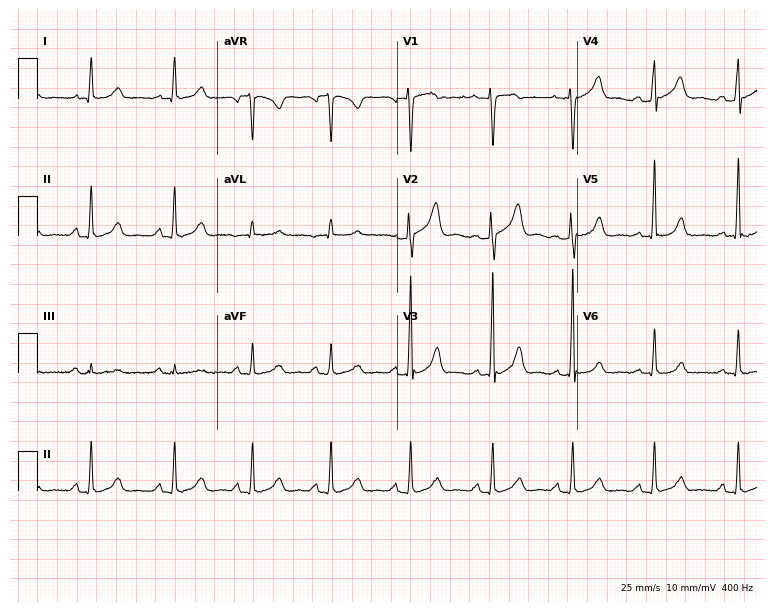
Resting 12-lead electrocardiogram (7.3-second recording at 400 Hz). Patient: a female, 51 years old. Read as a normal ECG.